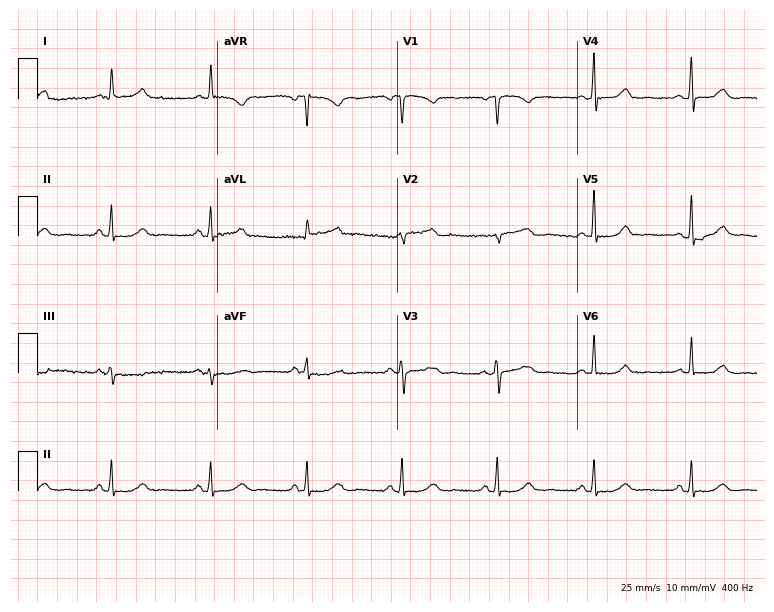
Resting 12-lead electrocardiogram. Patient: a 53-year-old female. Read as a normal ECG.